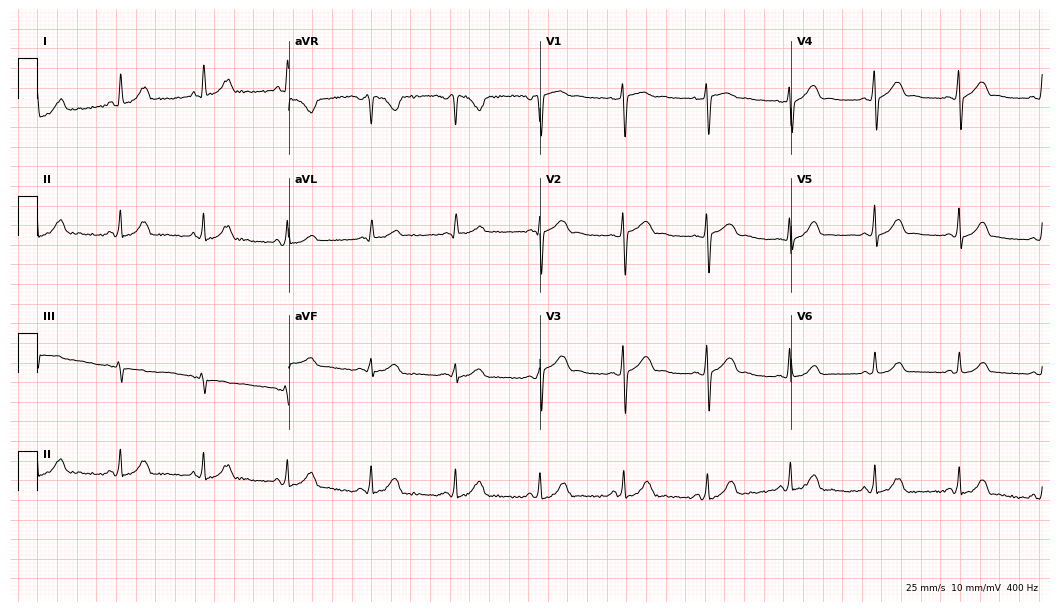
Resting 12-lead electrocardiogram. Patient: a female, 51 years old. None of these six findings is recorded: first-degree AV block, right bundle branch block (RBBB), left bundle branch block (LBBB), sinus bradycardia, atrial fibrillation (AF), sinus tachycardia.